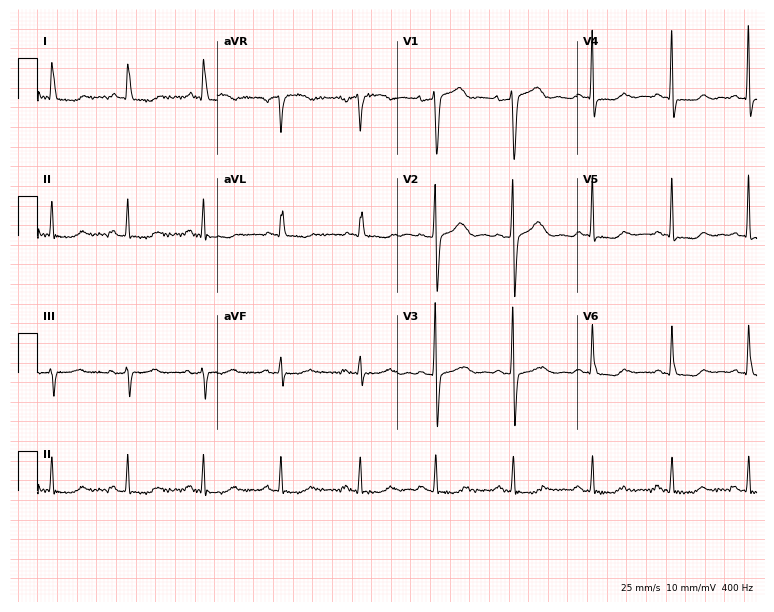
Electrocardiogram (7.3-second recording at 400 Hz), a female, 81 years old. Of the six screened findings (first-degree AV block, right bundle branch block, left bundle branch block, sinus bradycardia, atrial fibrillation, sinus tachycardia), none is recorded.